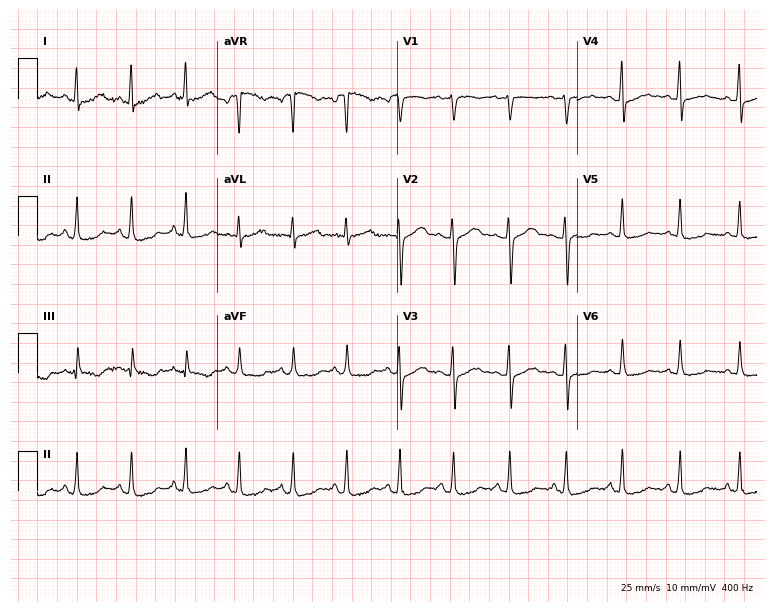
ECG — a woman, 42 years old. Findings include sinus tachycardia (a sinus rate of 100 beats per minute or more).